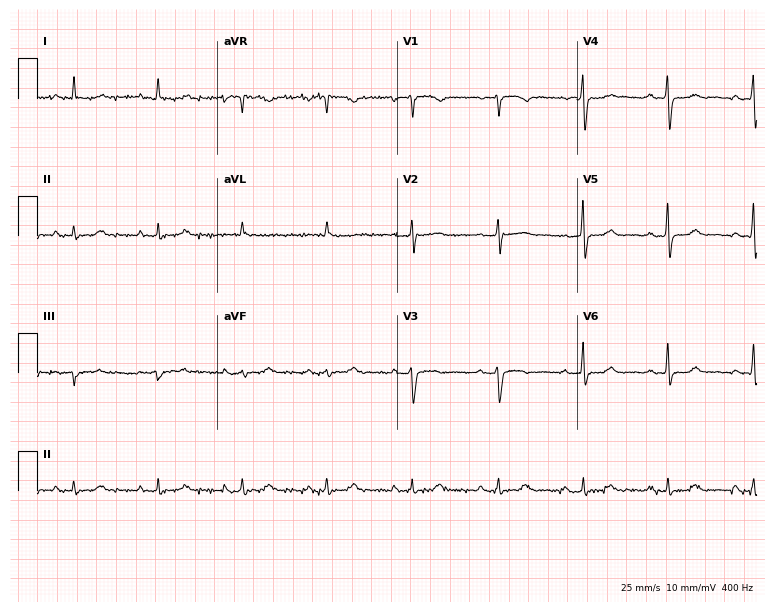
12-lead ECG from a 57-year-old woman. Labelled as a normal ECG.